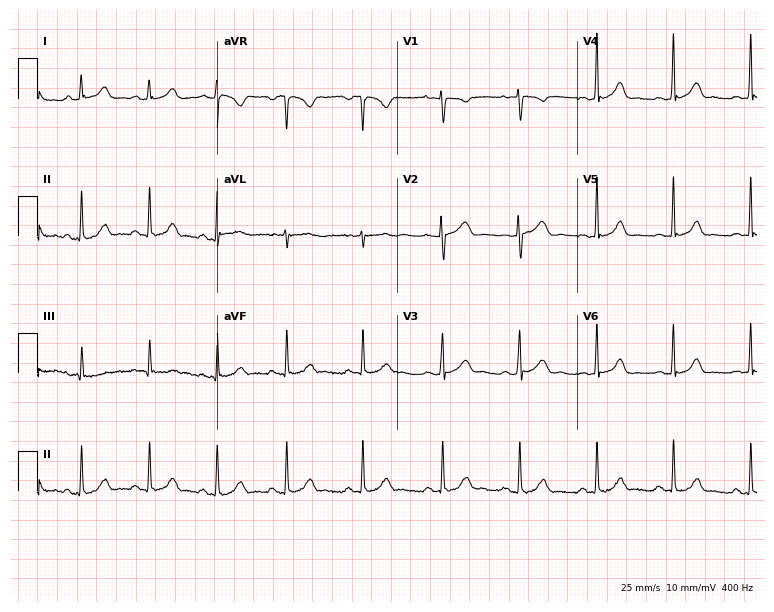
Resting 12-lead electrocardiogram. Patient: a female, 18 years old. Read as a normal ECG.